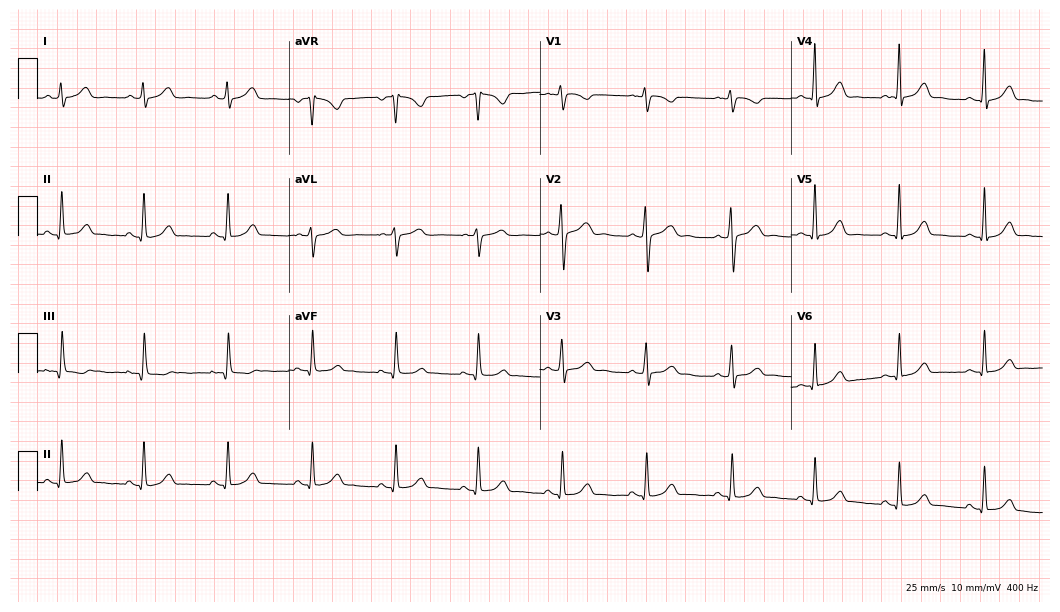
Electrocardiogram, a woman, 34 years old. Overall reading on record: normal ECG.